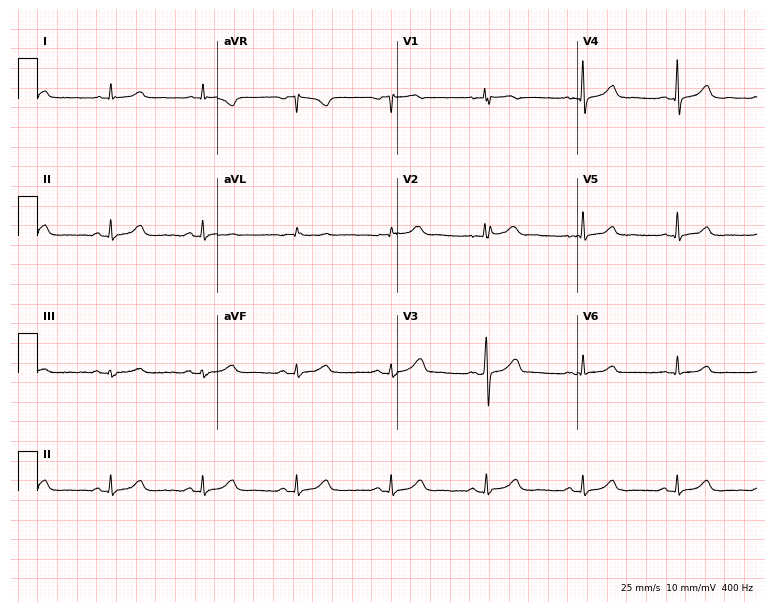
ECG (7.3-second recording at 400 Hz) — a 51-year-old female. Screened for six findings — first-degree AV block, right bundle branch block, left bundle branch block, sinus bradycardia, atrial fibrillation, sinus tachycardia — none is recorded. Findings outside these six are not listed.